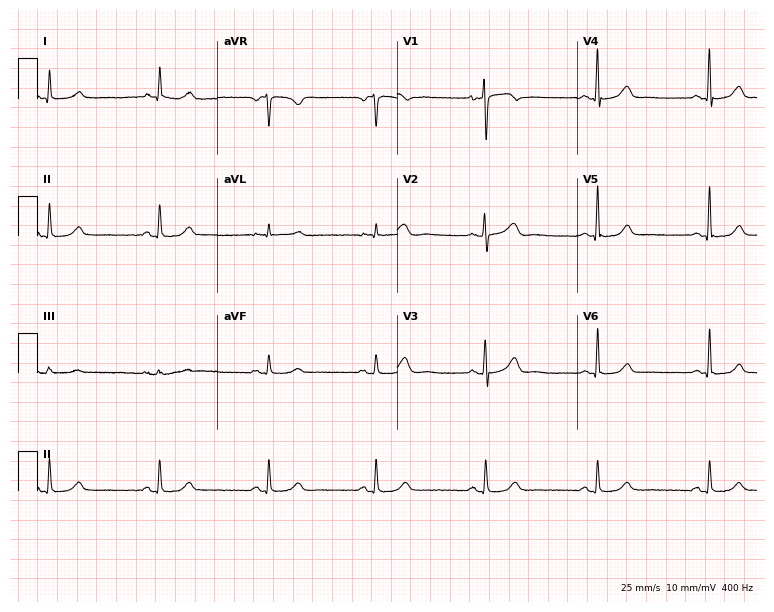
Standard 12-lead ECG recorded from a 63-year-old female patient (7.3-second recording at 400 Hz). Read as a normal ECG.